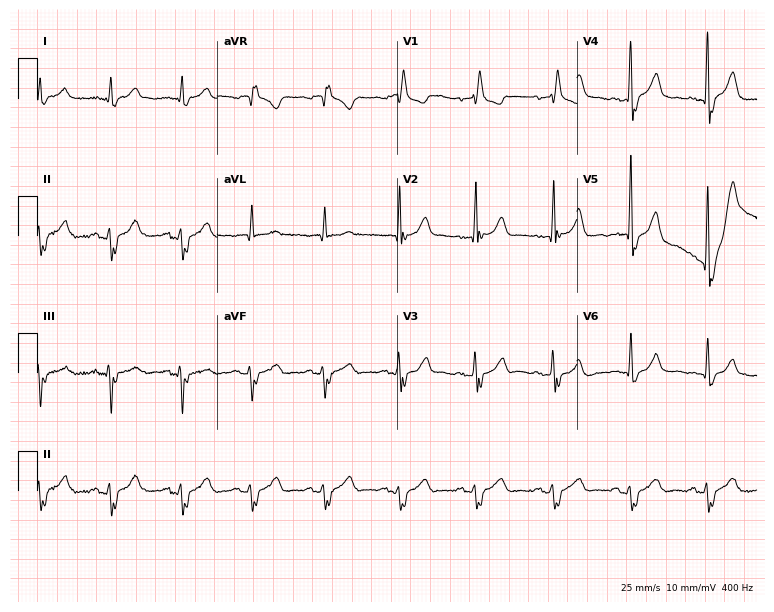
Electrocardiogram, a male, 69 years old. Interpretation includes right bundle branch block.